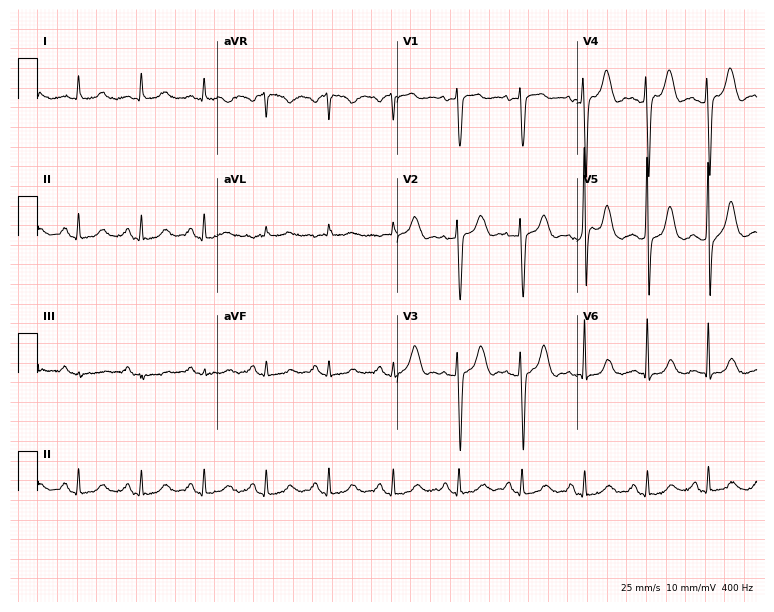
Standard 12-lead ECG recorded from a 42-year-old female. None of these six findings is recorded: first-degree AV block, right bundle branch block, left bundle branch block, sinus bradycardia, atrial fibrillation, sinus tachycardia.